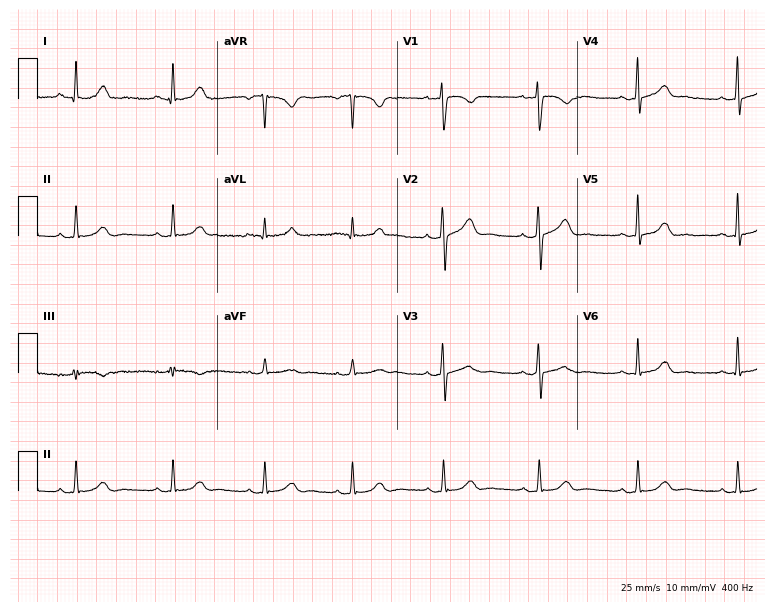
12-lead ECG (7.3-second recording at 400 Hz) from a female, 31 years old. Labelled as a normal ECG.